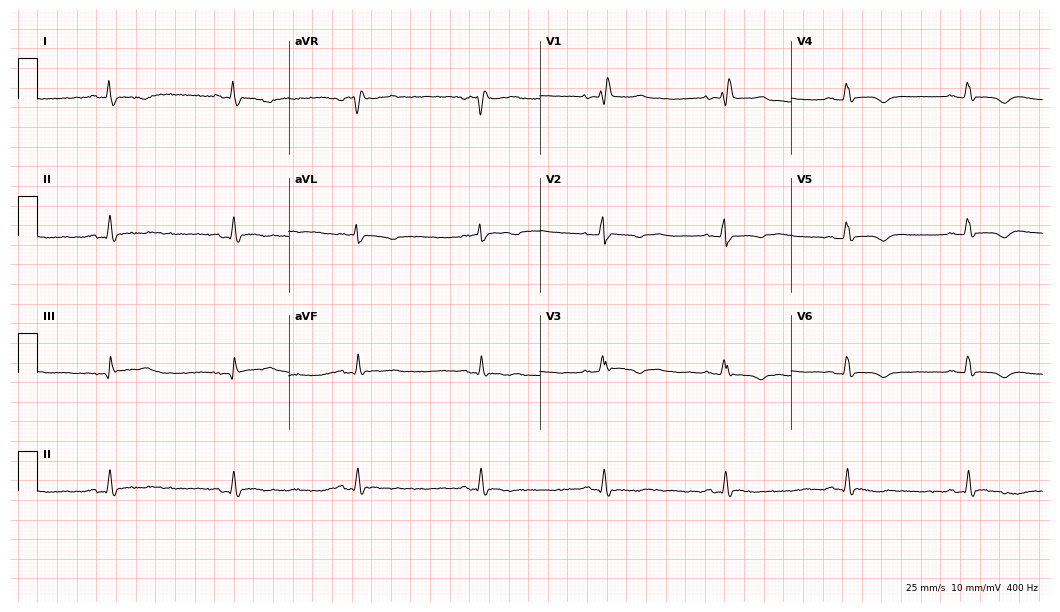
12-lead ECG from a 58-year-old female. Findings include right bundle branch block.